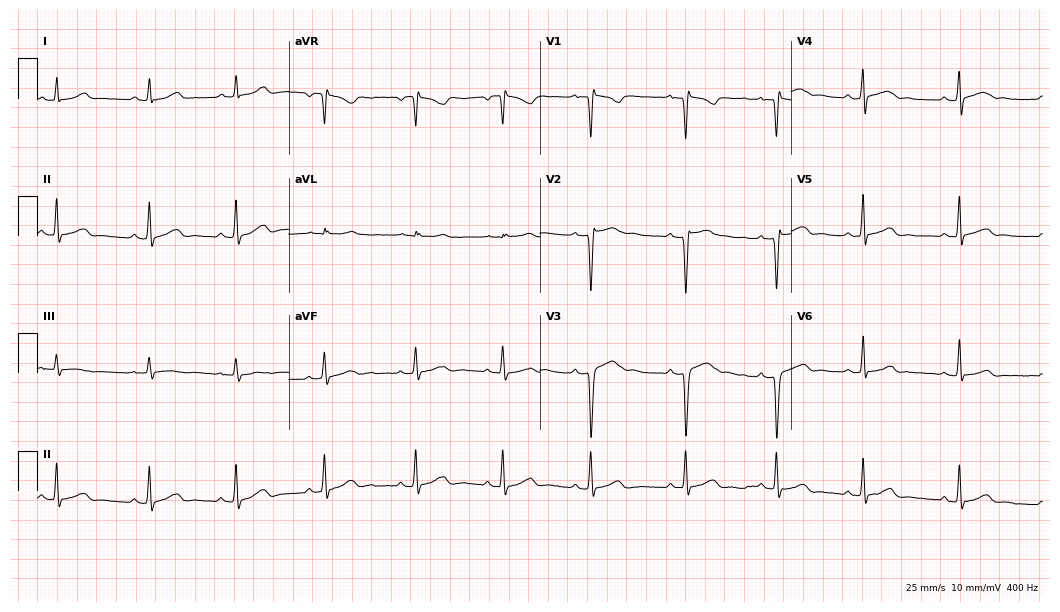
Electrocardiogram, a 36-year-old woman. Of the six screened findings (first-degree AV block, right bundle branch block, left bundle branch block, sinus bradycardia, atrial fibrillation, sinus tachycardia), none is recorded.